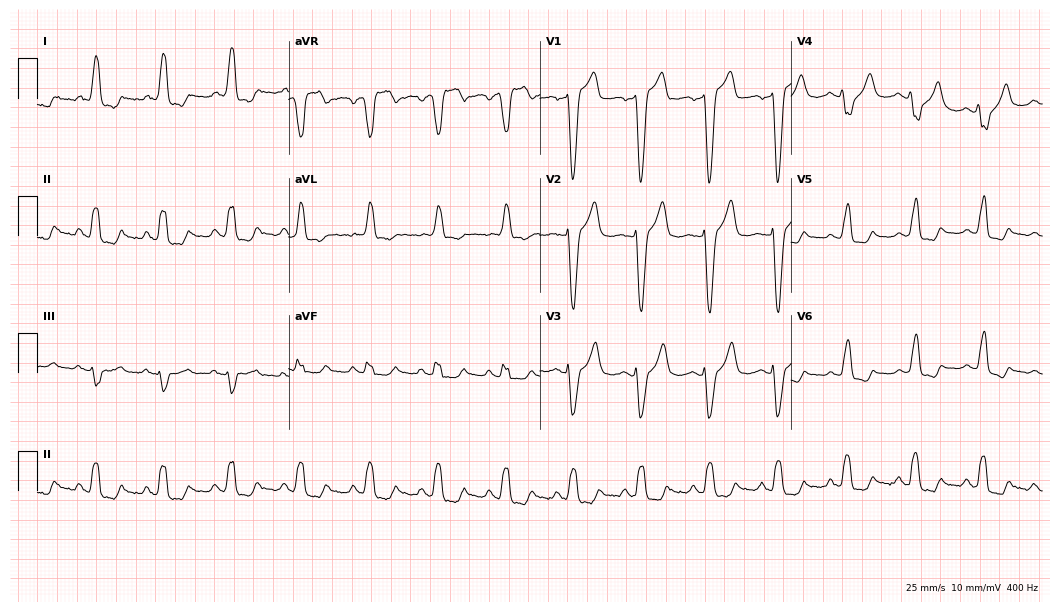
ECG (10.2-second recording at 400 Hz) — a man, 71 years old. Findings include left bundle branch block.